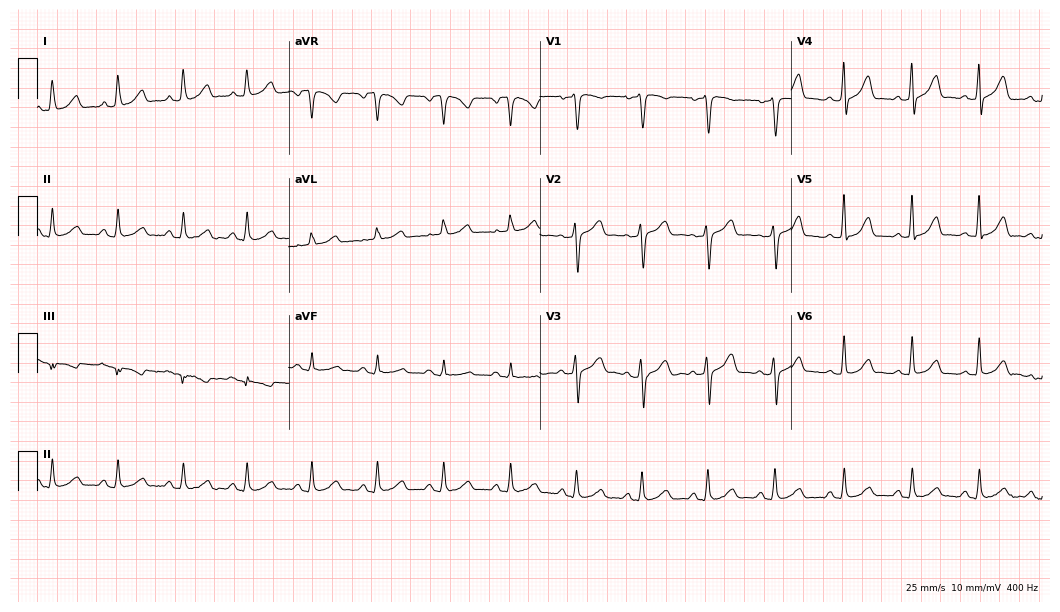
12-lead ECG from a 38-year-old female patient (10.2-second recording at 400 Hz). Recorded interpretation: within normal limits.